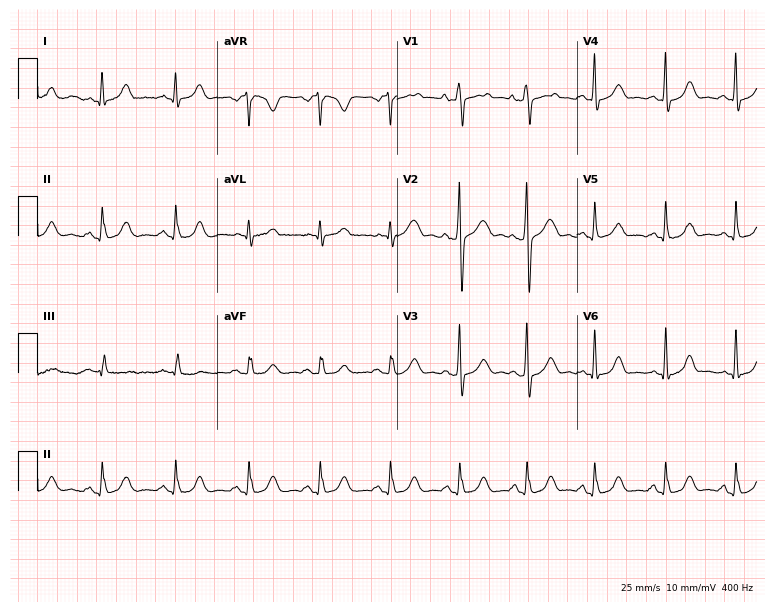
ECG (7.3-second recording at 400 Hz) — a male patient, 17 years old. Labelled as a normal ECG.